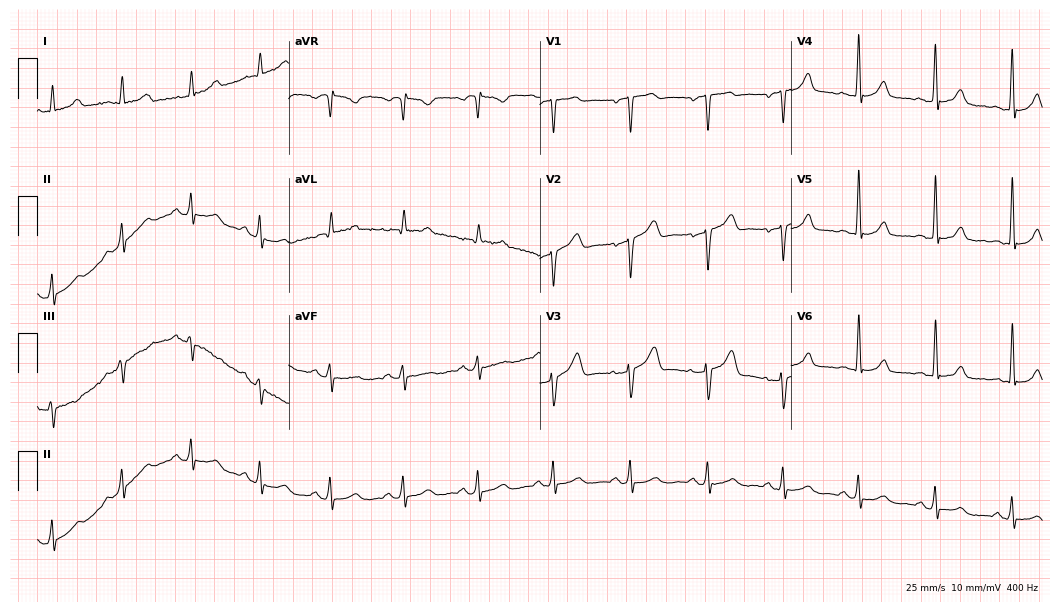
Electrocardiogram, a 41-year-old male patient. Overall reading on record: normal ECG.